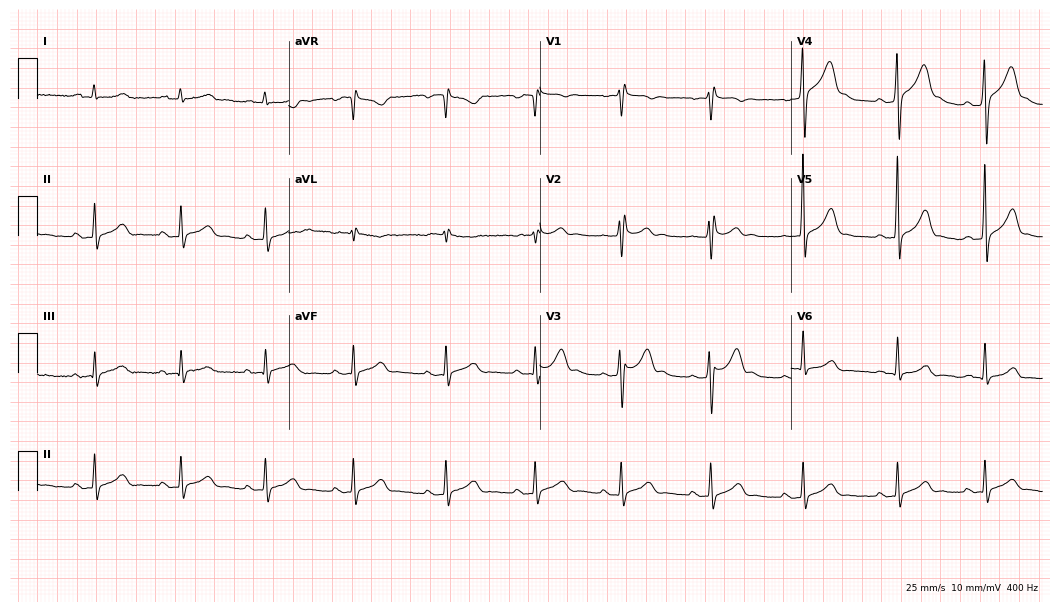
ECG — a 29-year-old male. Labelled as a normal ECG.